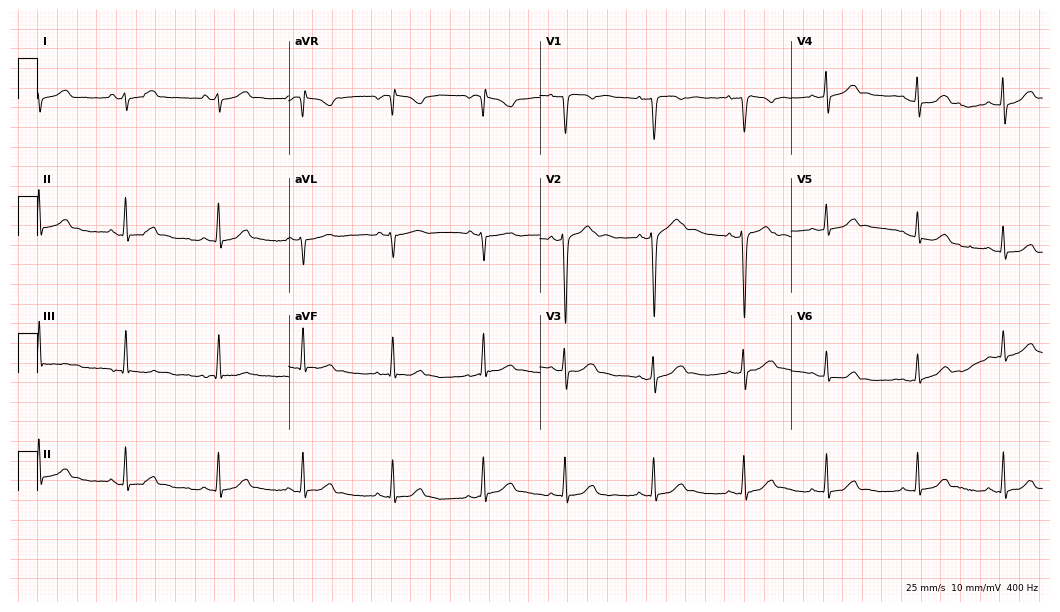
Resting 12-lead electrocardiogram (10.2-second recording at 400 Hz). Patient: an 18-year-old woman. Read as a normal ECG.